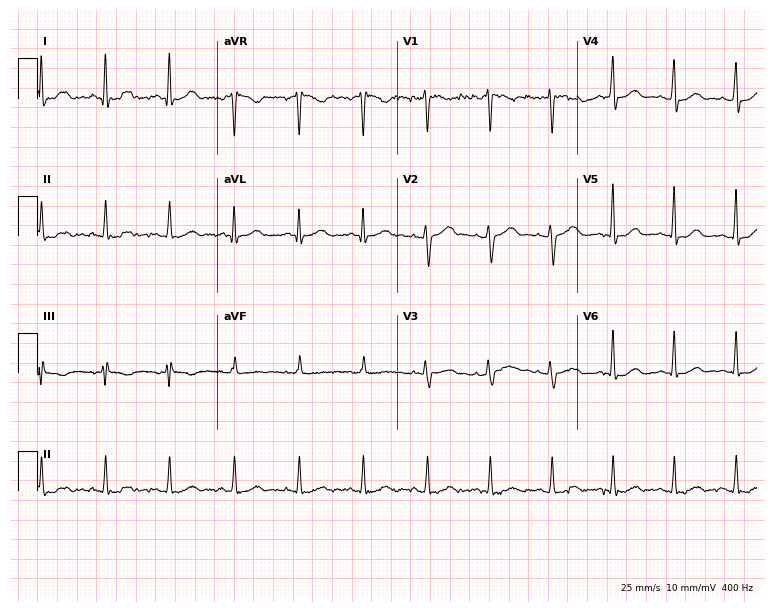
ECG (7.3-second recording at 400 Hz) — a 36-year-old female. Screened for six findings — first-degree AV block, right bundle branch block (RBBB), left bundle branch block (LBBB), sinus bradycardia, atrial fibrillation (AF), sinus tachycardia — none is recorded. Other findings, if any, are not listed.